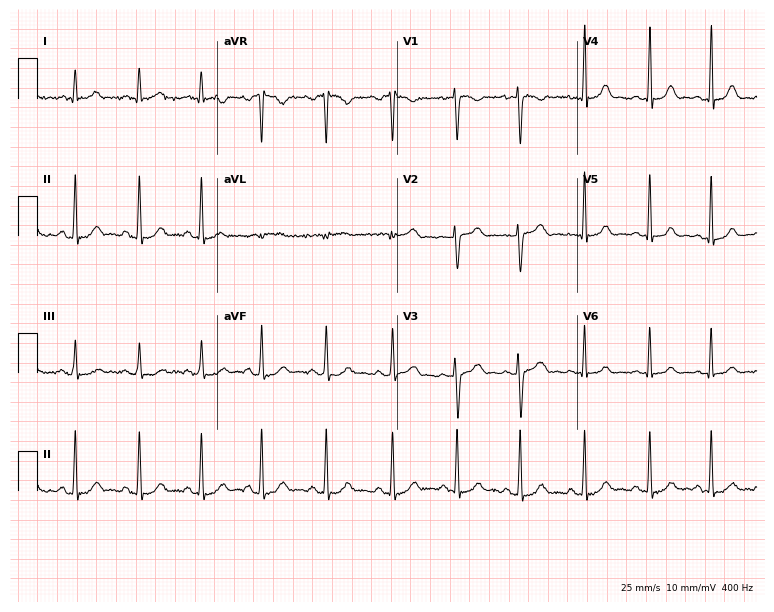
ECG — a female patient, 18 years old. Labelled as a normal ECG.